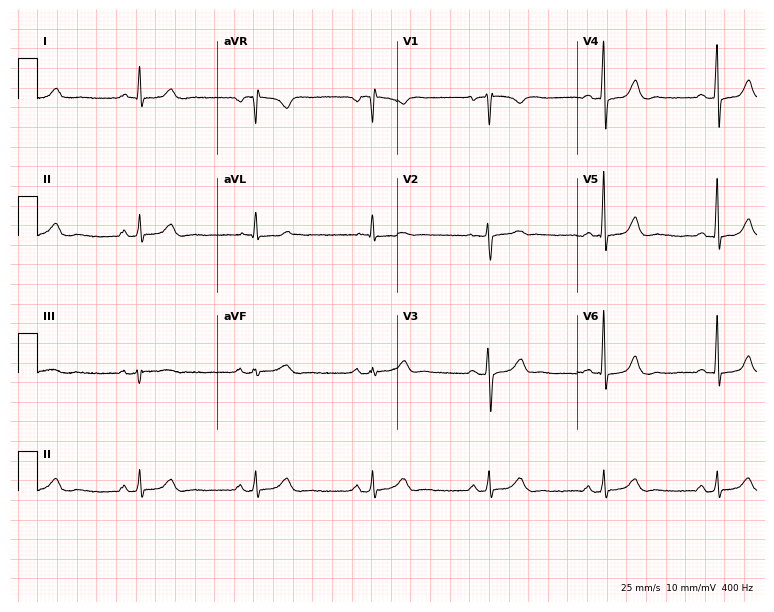
12-lead ECG (7.3-second recording at 400 Hz) from a female patient, 50 years old. Labelled as a normal ECG.